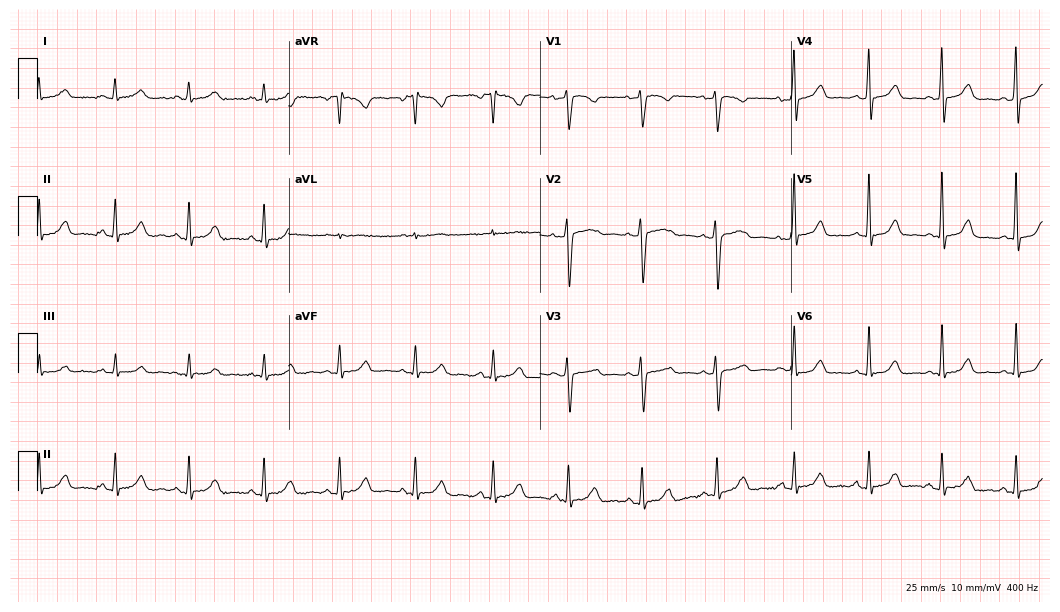
ECG — a female, 63 years old. Labelled as a normal ECG.